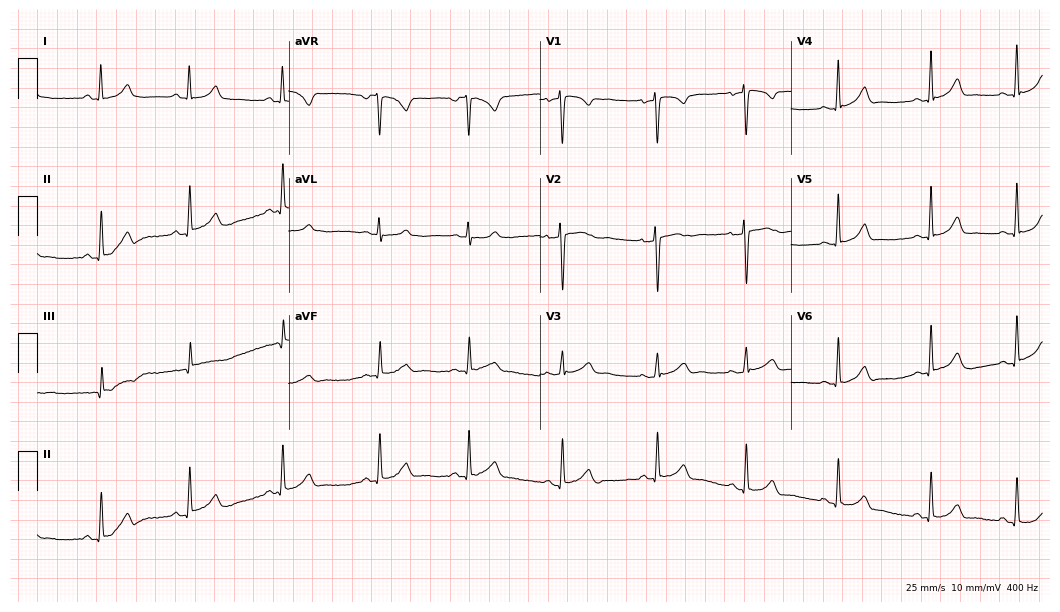
Electrocardiogram (10.2-second recording at 400 Hz), a 36-year-old female. Overall reading on record: normal ECG.